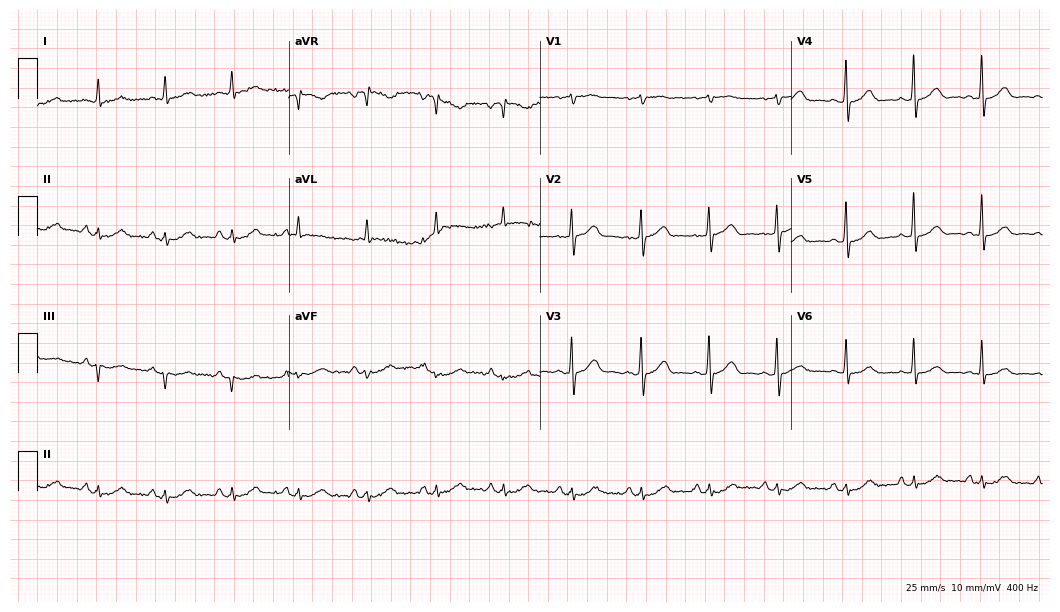
Resting 12-lead electrocardiogram (10.2-second recording at 400 Hz). Patient: a woman, 80 years old. Read as a normal ECG.